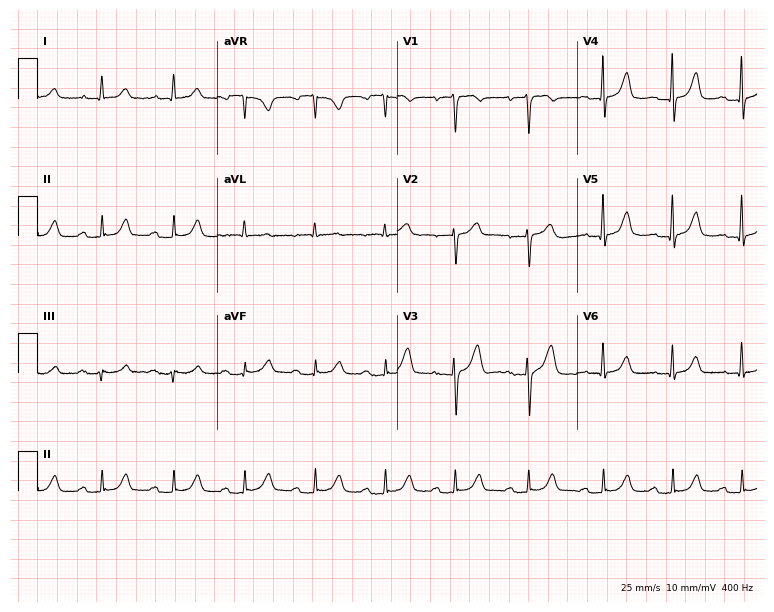
Electrocardiogram, a female, 77 years old. Interpretation includes first-degree AV block.